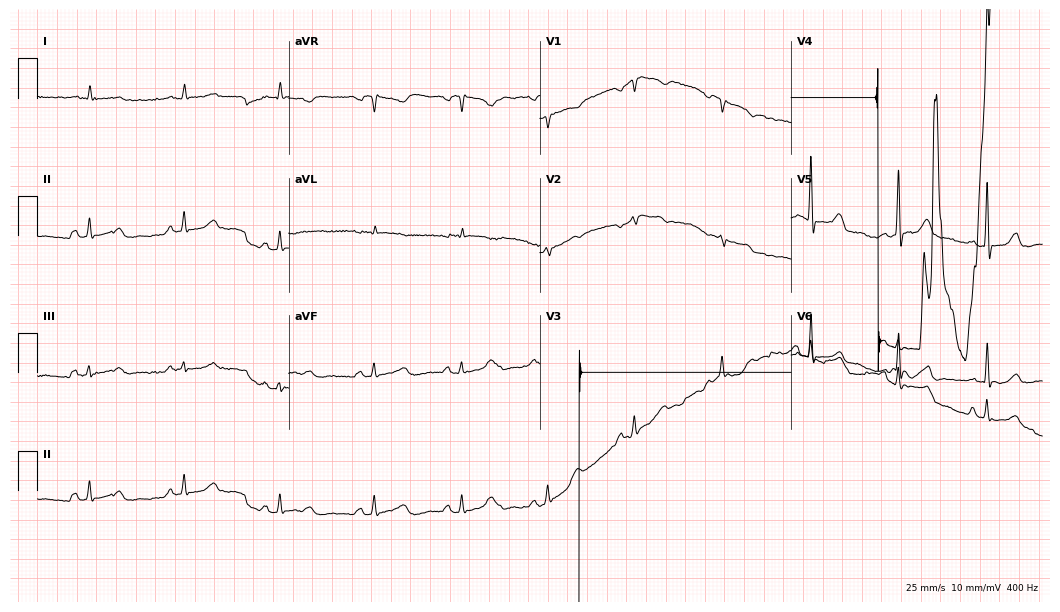
12-lead ECG from a male patient, 64 years old. No first-degree AV block, right bundle branch block, left bundle branch block, sinus bradycardia, atrial fibrillation or sinus tachycardia recorded for this tracing.